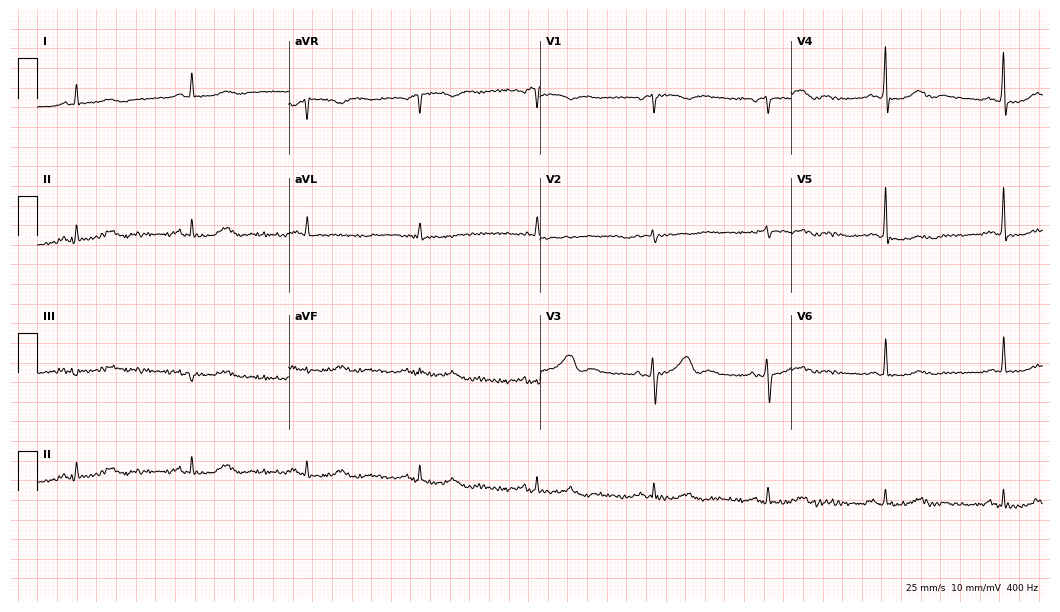
12-lead ECG (10.2-second recording at 400 Hz) from an 83-year-old male. Screened for six findings — first-degree AV block, right bundle branch block, left bundle branch block, sinus bradycardia, atrial fibrillation, sinus tachycardia — none is recorded.